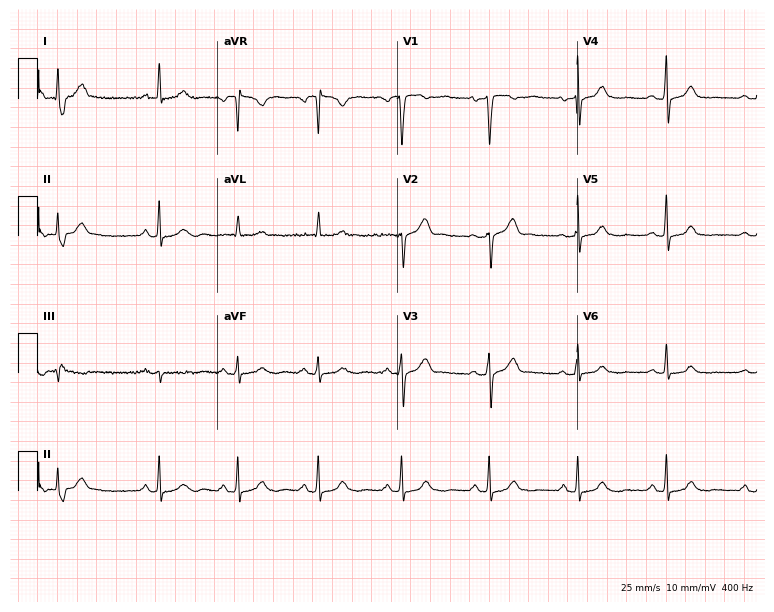
Standard 12-lead ECG recorded from a woman, 58 years old. None of these six findings is recorded: first-degree AV block, right bundle branch block, left bundle branch block, sinus bradycardia, atrial fibrillation, sinus tachycardia.